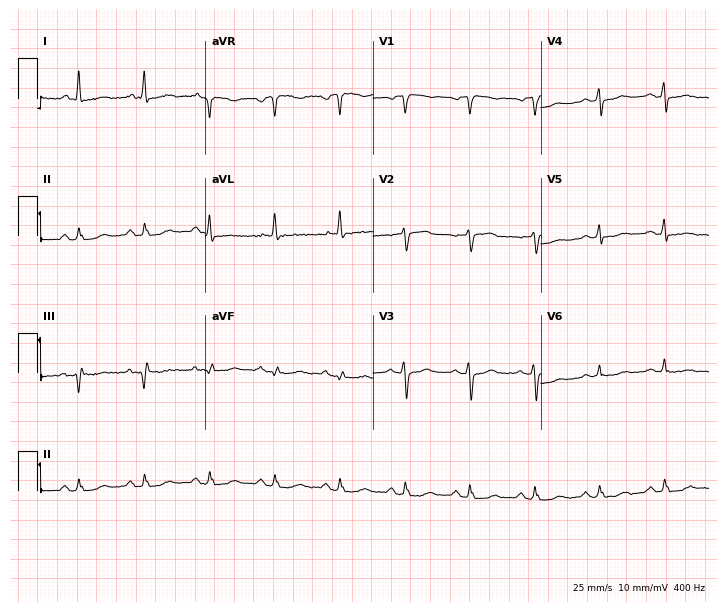
Electrocardiogram (6.8-second recording at 400 Hz), a 67-year-old woman. Of the six screened findings (first-degree AV block, right bundle branch block, left bundle branch block, sinus bradycardia, atrial fibrillation, sinus tachycardia), none is recorded.